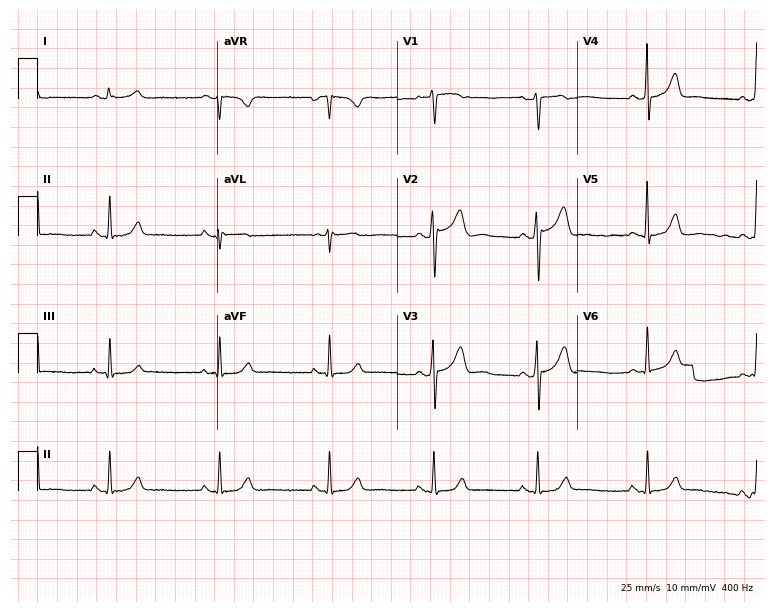
12-lead ECG from a 46-year-old female patient. No first-degree AV block, right bundle branch block, left bundle branch block, sinus bradycardia, atrial fibrillation or sinus tachycardia recorded for this tracing.